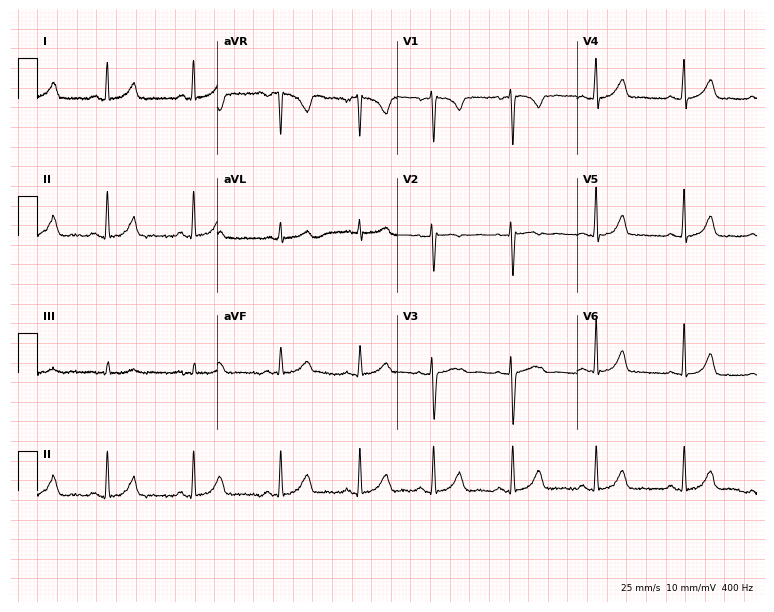
Resting 12-lead electrocardiogram. Patient: a 25-year-old female. Read as a normal ECG.